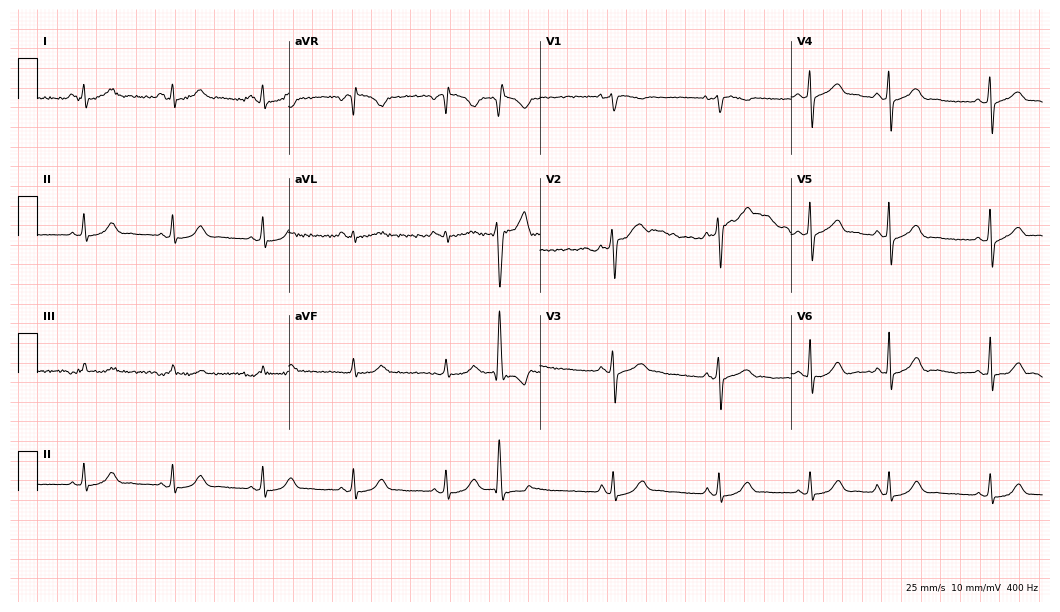
12-lead ECG from a female, 22 years old. Screened for six findings — first-degree AV block, right bundle branch block (RBBB), left bundle branch block (LBBB), sinus bradycardia, atrial fibrillation (AF), sinus tachycardia — none is recorded. Only these six findings were labelled.